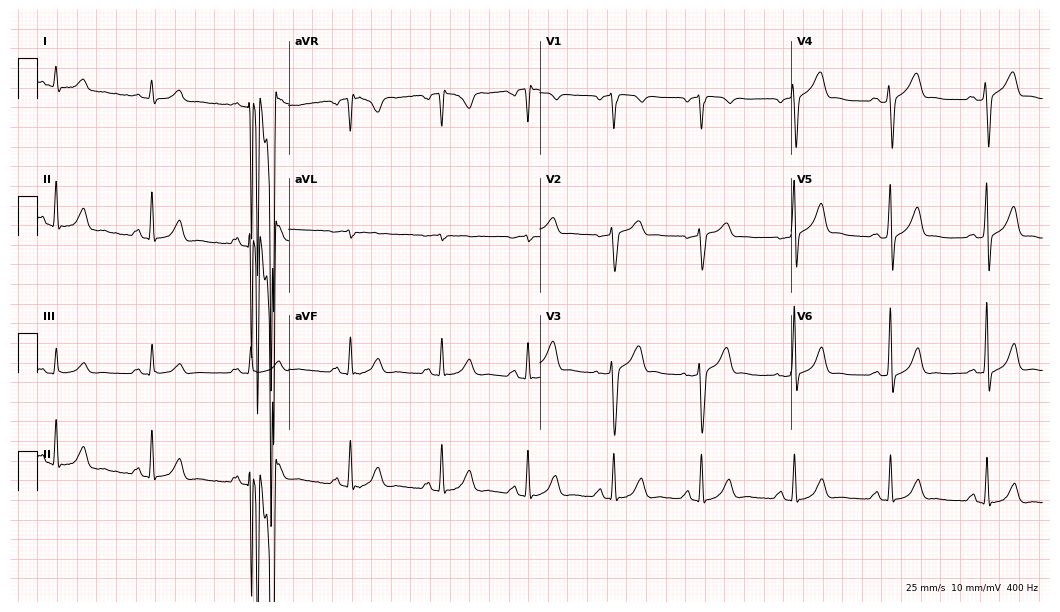
ECG — a 47-year-old male. Labelled as a normal ECG.